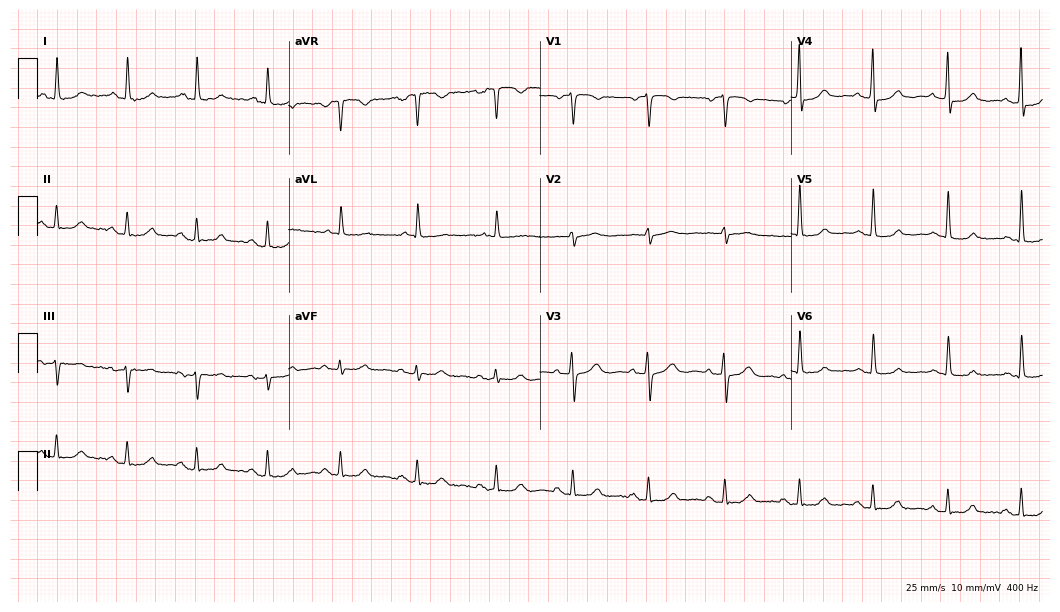
Resting 12-lead electrocardiogram (10.2-second recording at 400 Hz). Patient: a woman, 76 years old. None of these six findings is recorded: first-degree AV block, right bundle branch block, left bundle branch block, sinus bradycardia, atrial fibrillation, sinus tachycardia.